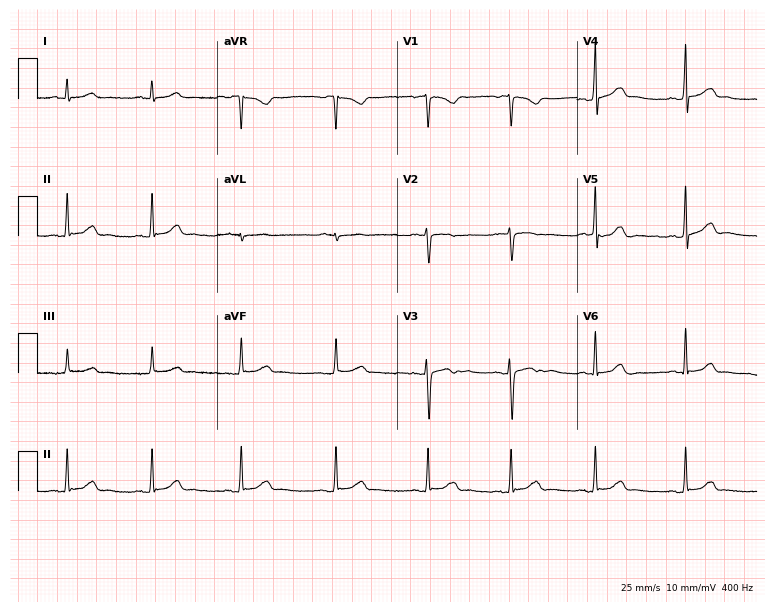
ECG (7.3-second recording at 400 Hz) — a 24-year-old woman. Labelled as a normal ECG.